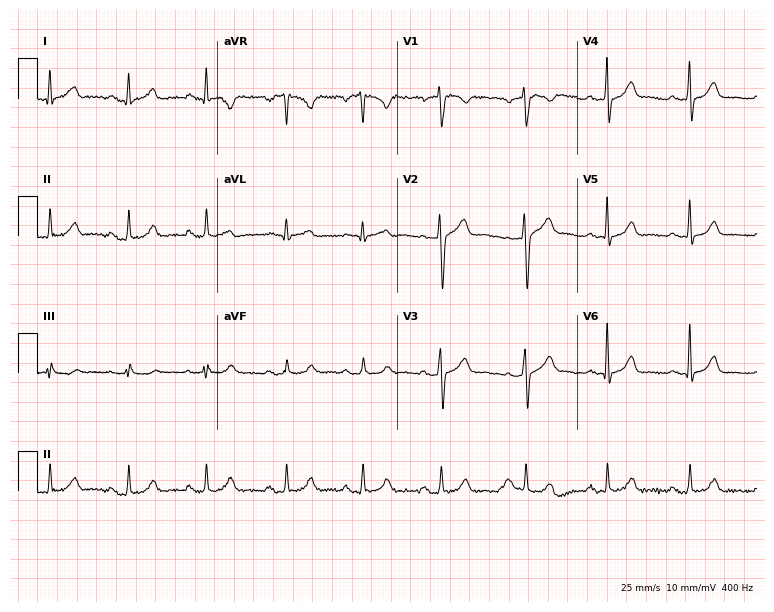
Resting 12-lead electrocardiogram. Patient: a 35-year-old male. Read as a normal ECG.